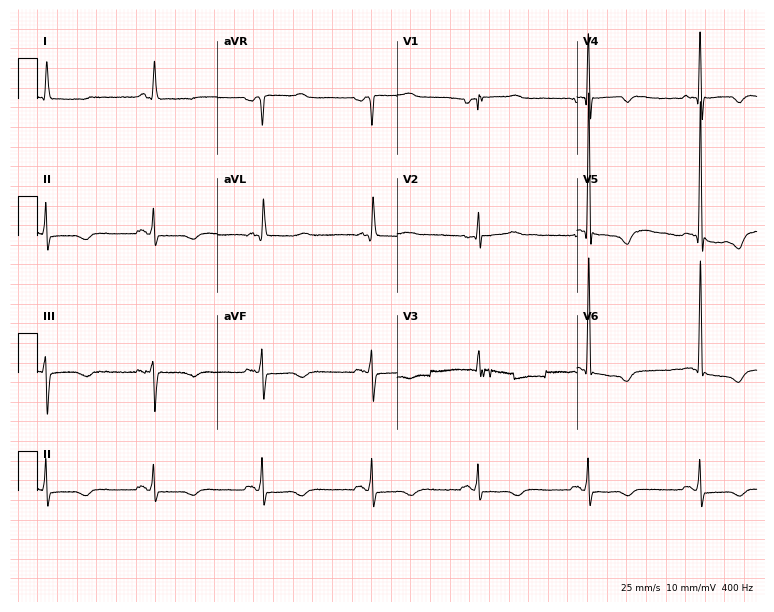
12-lead ECG from a female patient, 79 years old (7.3-second recording at 400 Hz). No first-degree AV block, right bundle branch block (RBBB), left bundle branch block (LBBB), sinus bradycardia, atrial fibrillation (AF) or sinus tachycardia recorded for this tracing.